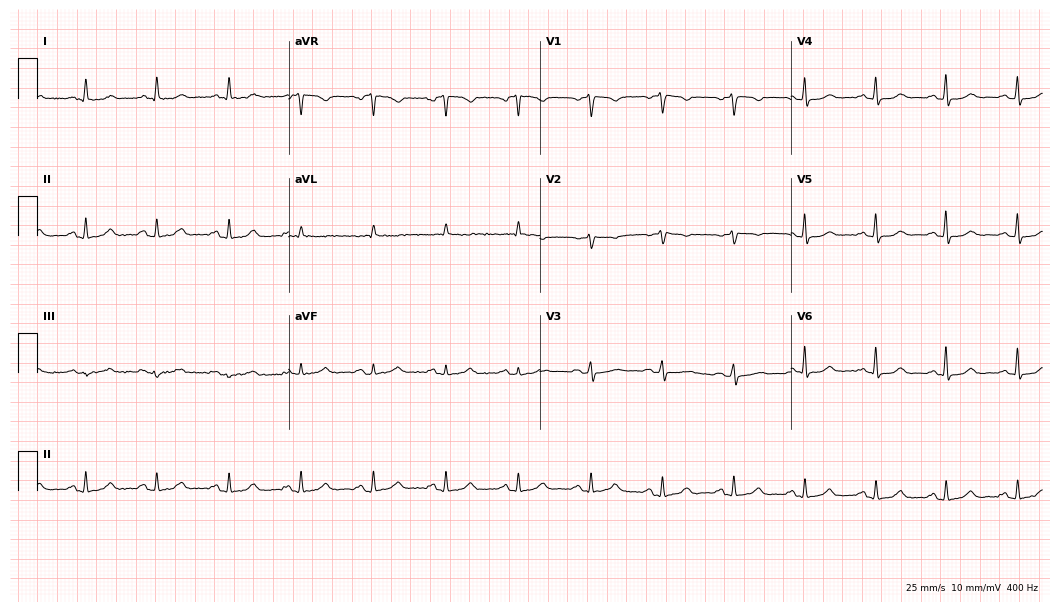
Standard 12-lead ECG recorded from a 48-year-old female patient (10.2-second recording at 400 Hz). Read as a normal ECG.